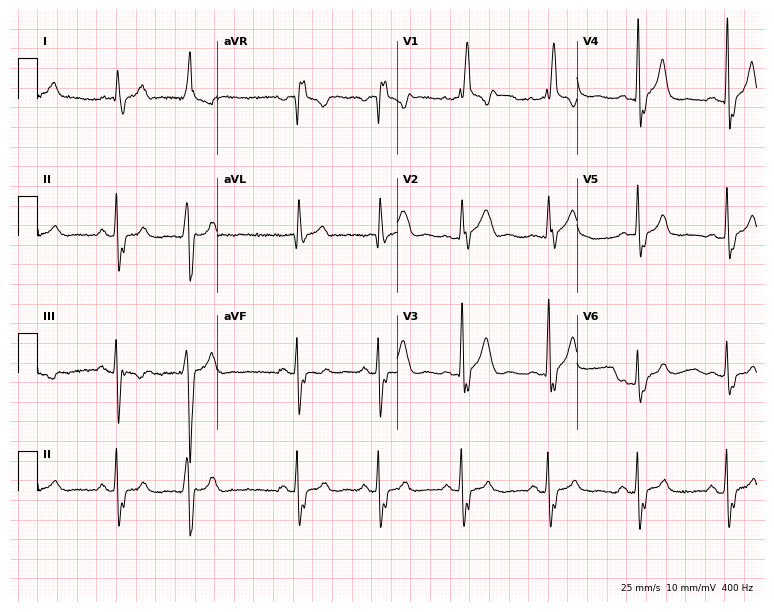
Resting 12-lead electrocardiogram. Patient: a male, 61 years old. The tracing shows right bundle branch block.